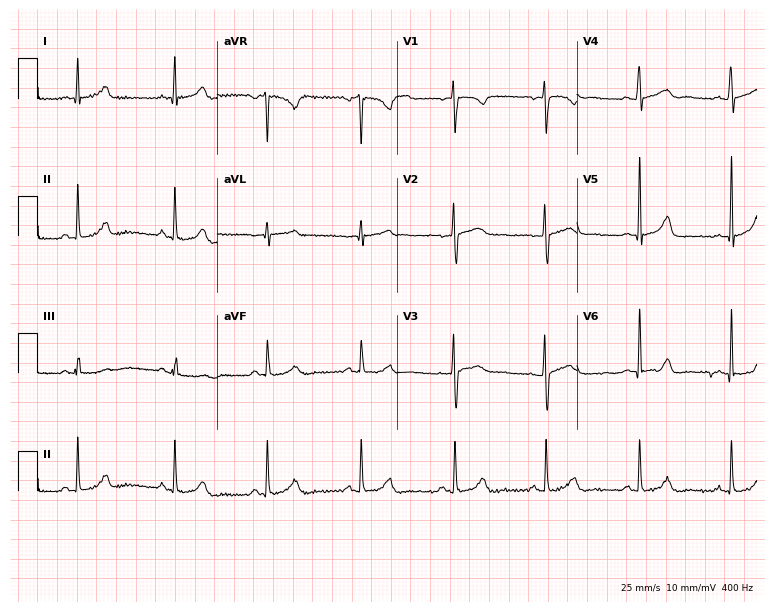
Electrocardiogram, a female patient, 38 years old. Overall reading on record: normal ECG.